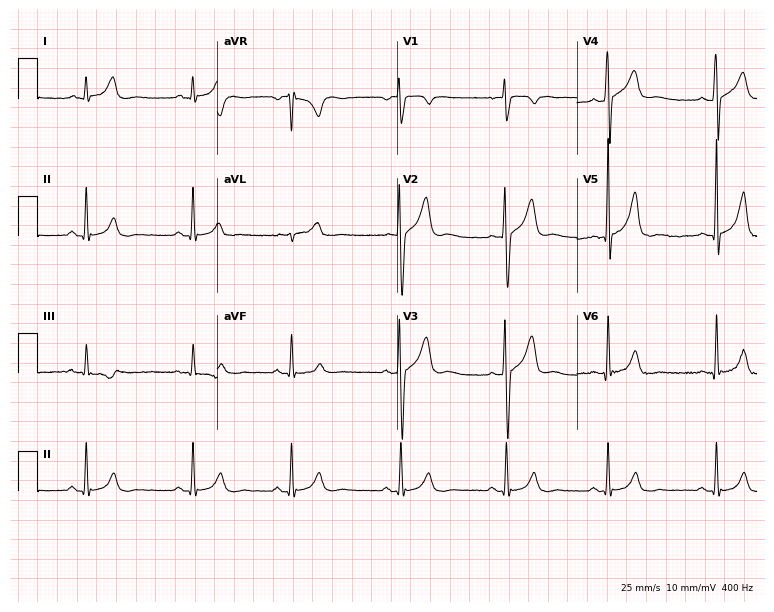
Electrocardiogram (7.3-second recording at 400 Hz), a male, 33 years old. Of the six screened findings (first-degree AV block, right bundle branch block, left bundle branch block, sinus bradycardia, atrial fibrillation, sinus tachycardia), none is recorded. Other findings, if any, are not listed.